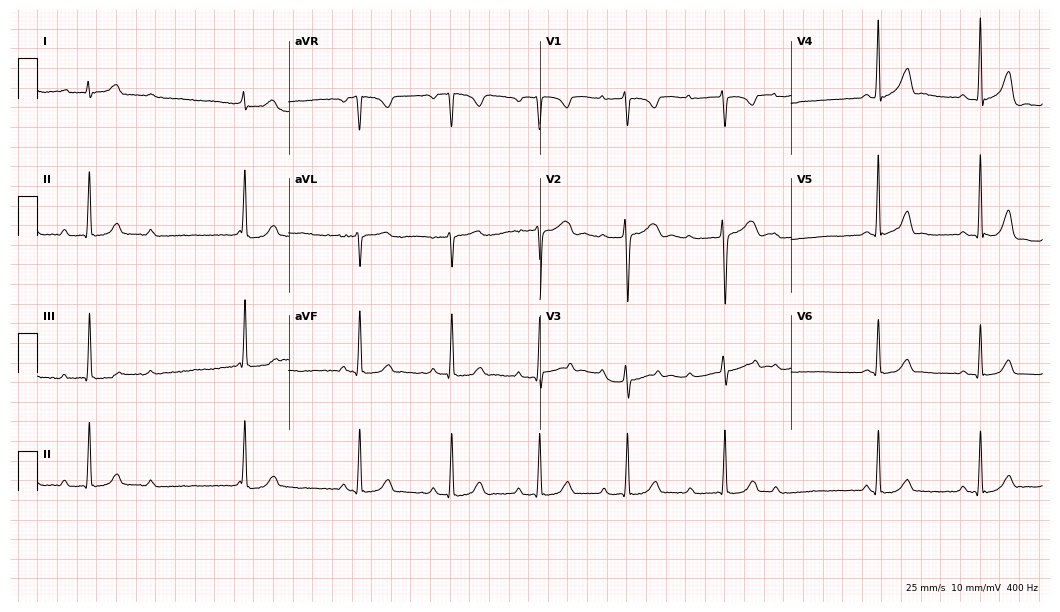
Electrocardiogram, a female patient, 25 years old. Of the six screened findings (first-degree AV block, right bundle branch block (RBBB), left bundle branch block (LBBB), sinus bradycardia, atrial fibrillation (AF), sinus tachycardia), none is recorded. Findings outside these six are not listed.